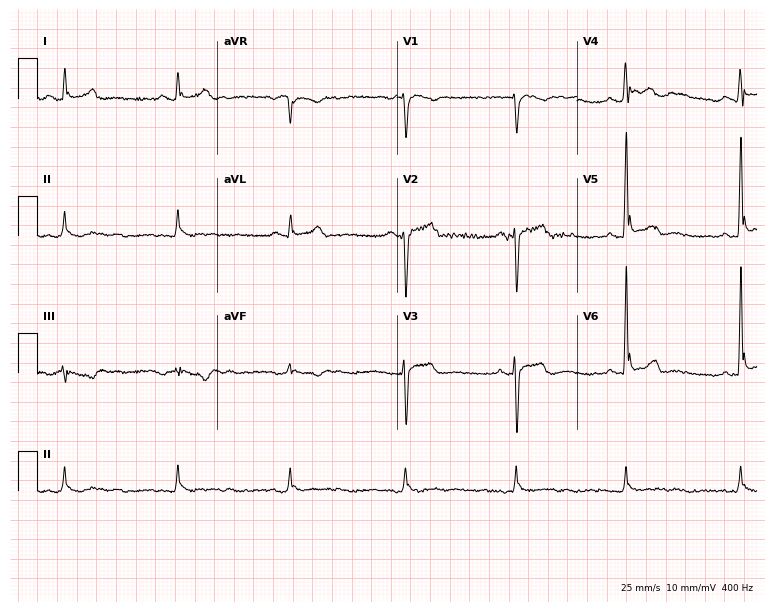
ECG — a male patient, 36 years old. Screened for six findings — first-degree AV block, right bundle branch block (RBBB), left bundle branch block (LBBB), sinus bradycardia, atrial fibrillation (AF), sinus tachycardia — none is recorded.